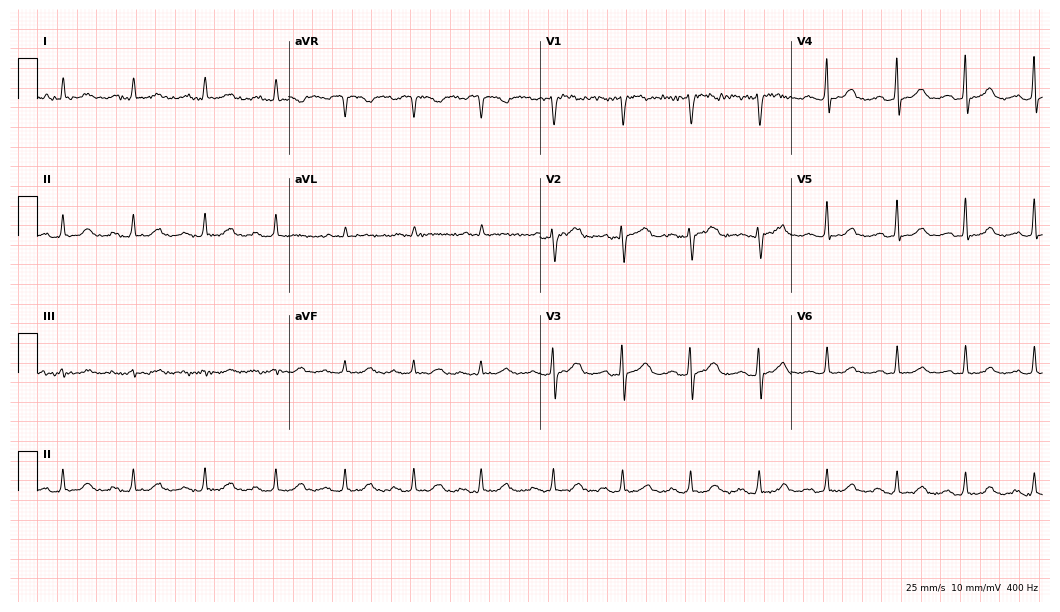
Standard 12-lead ECG recorded from a 70-year-old female. The tracing shows first-degree AV block.